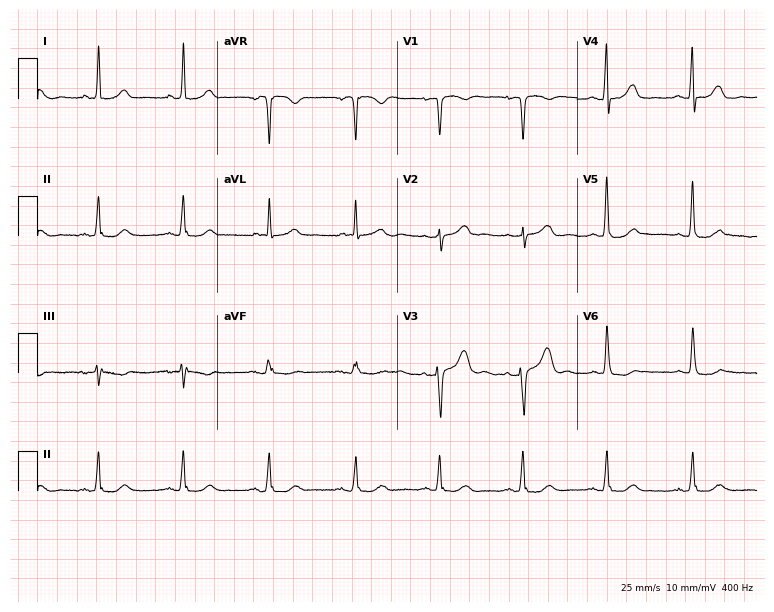
Resting 12-lead electrocardiogram (7.3-second recording at 400 Hz). Patient: a 64-year-old female. Read as a normal ECG.